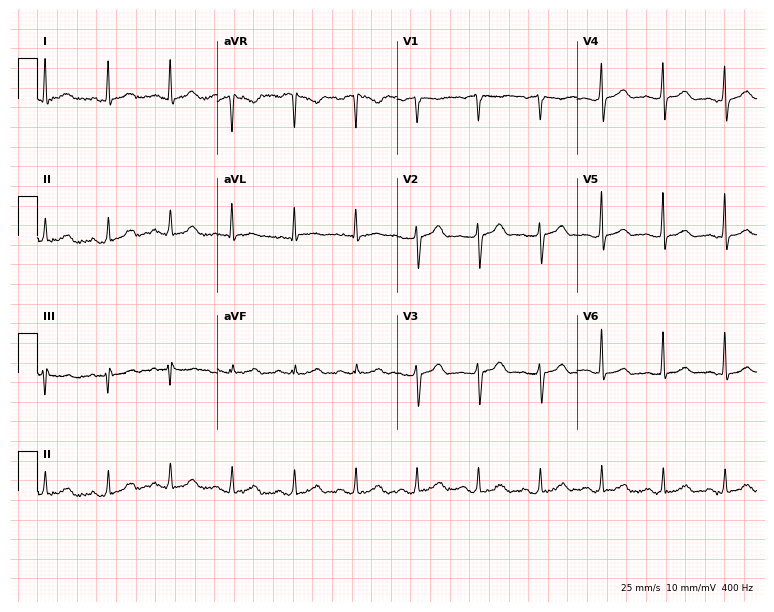
Resting 12-lead electrocardiogram (7.3-second recording at 400 Hz). Patient: a 42-year-old male. None of these six findings is recorded: first-degree AV block, right bundle branch block, left bundle branch block, sinus bradycardia, atrial fibrillation, sinus tachycardia.